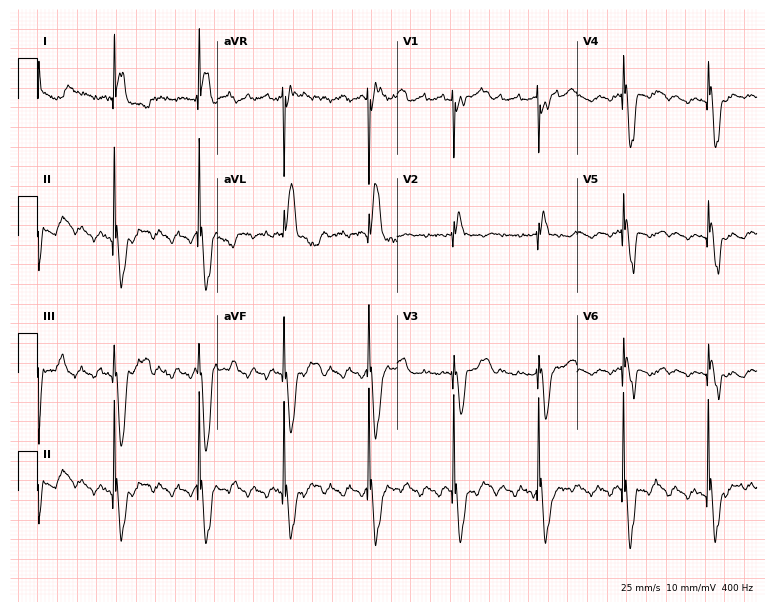
12-lead ECG from a male patient, 73 years old. No first-degree AV block, right bundle branch block (RBBB), left bundle branch block (LBBB), sinus bradycardia, atrial fibrillation (AF) or sinus tachycardia recorded for this tracing. Other findings, if any, are not listed.